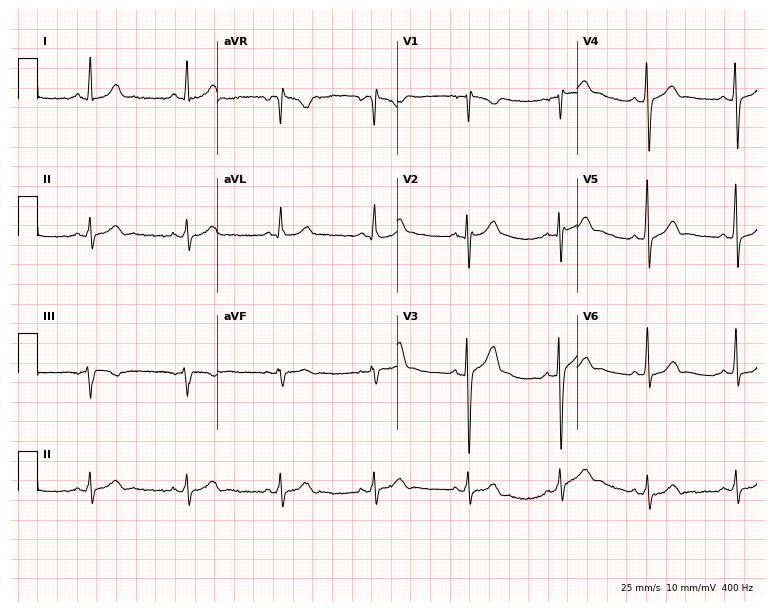
12-lead ECG from a 26-year-old male patient. Screened for six findings — first-degree AV block, right bundle branch block, left bundle branch block, sinus bradycardia, atrial fibrillation, sinus tachycardia — none is recorded.